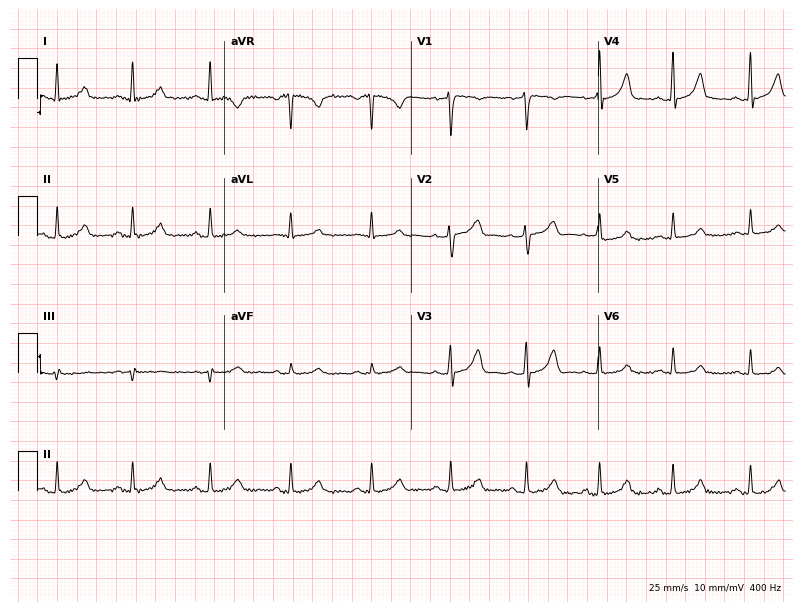
Standard 12-lead ECG recorded from a 48-year-old female (7.6-second recording at 400 Hz). Read as a normal ECG.